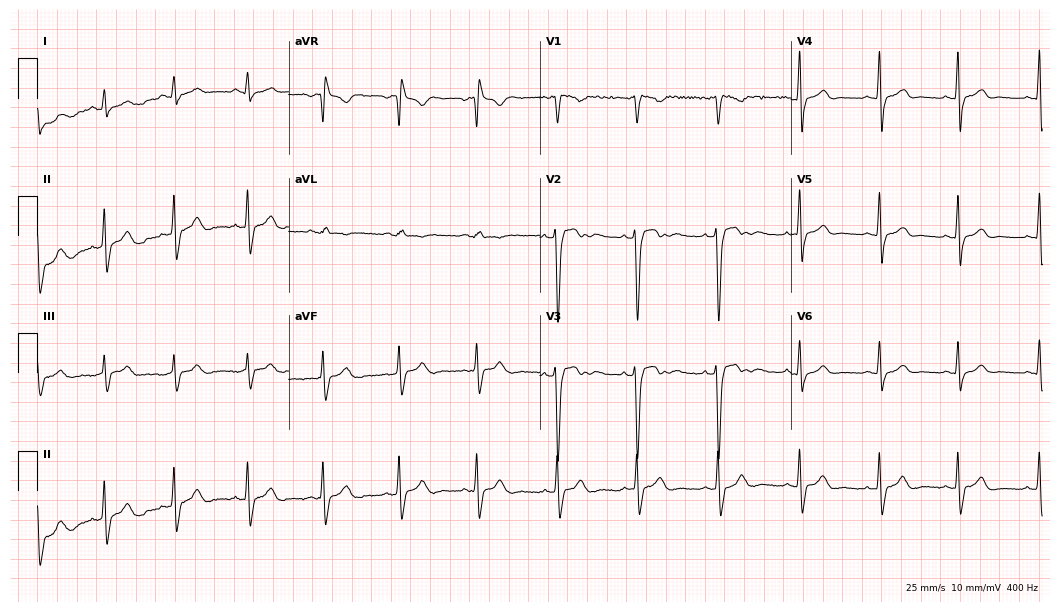
12-lead ECG (10.2-second recording at 400 Hz) from a man, 17 years old. Screened for six findings — first-degree AV block, right bundle branch block, left bundle branch block, sinus bradycardia, atrial fibrillation, sinus tachycardia — none is recorded. Other findings, if any, are not listed.